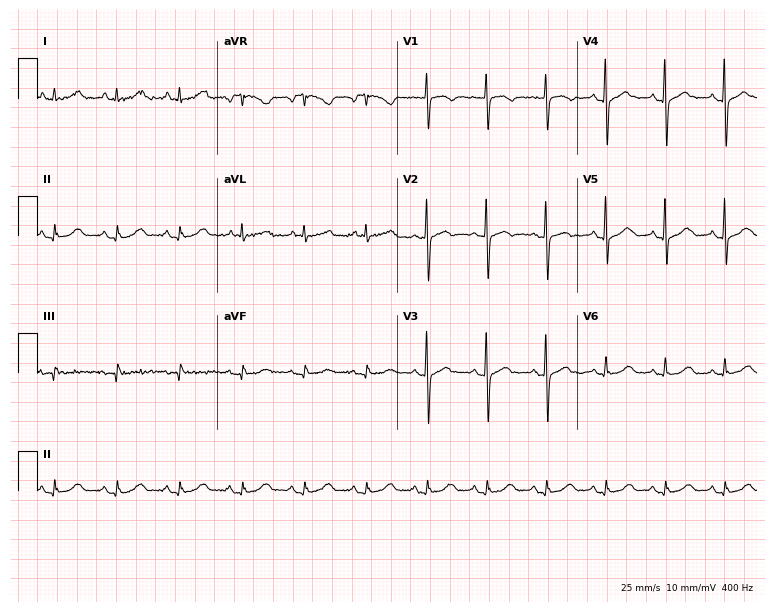
12-lead ECG from a 69-year-old woman (7.3-second recording at 400 Hz). No first-degree AV block, right bundle branch block (RBBB), left bundle branch block (LBBB), sinus bradycardia, atrial fibrillation (AF) or sinus tachycardia recorded for this tracing. Findings outside these six are not listed.